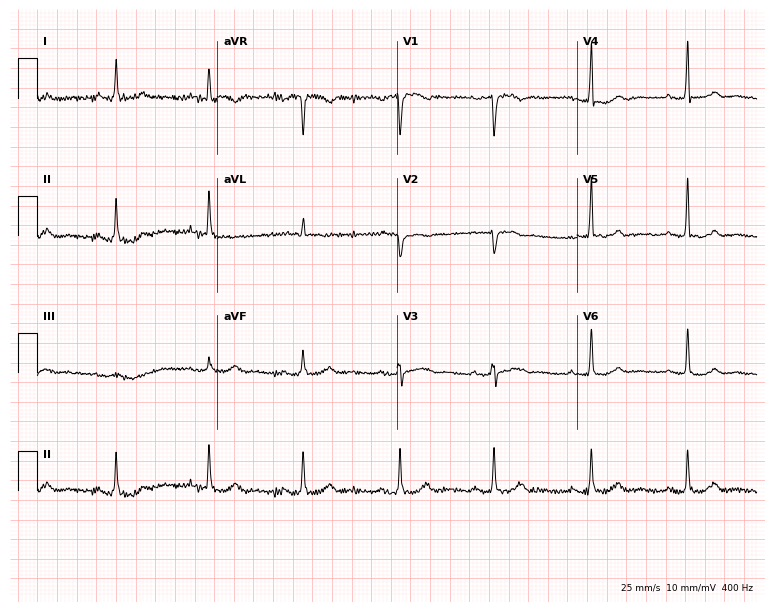
12-lead ECG (7.3-second recording at 400 Hz) from a 57-year-old female. Labelled as a normal ECG.